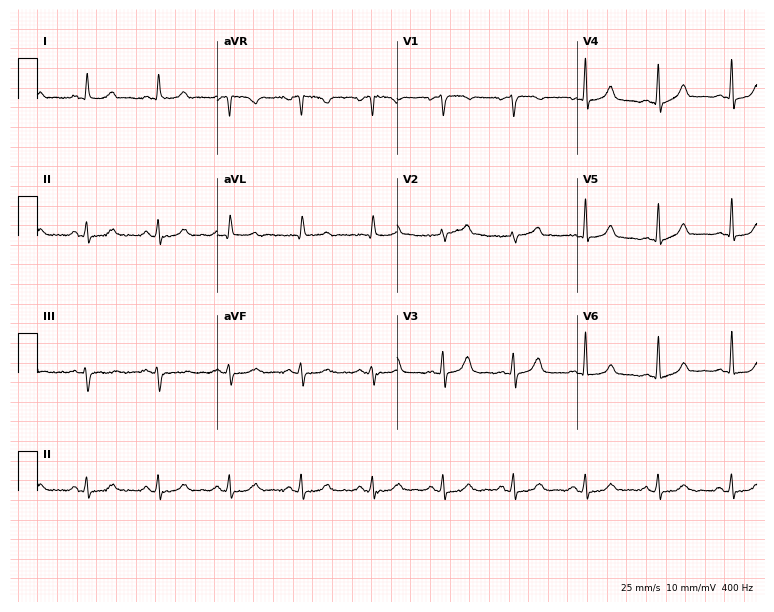
12-lead ECG (7.3-second recording at 400 Hz) from a 70-year-old woman. Labelled as a normal ECG.